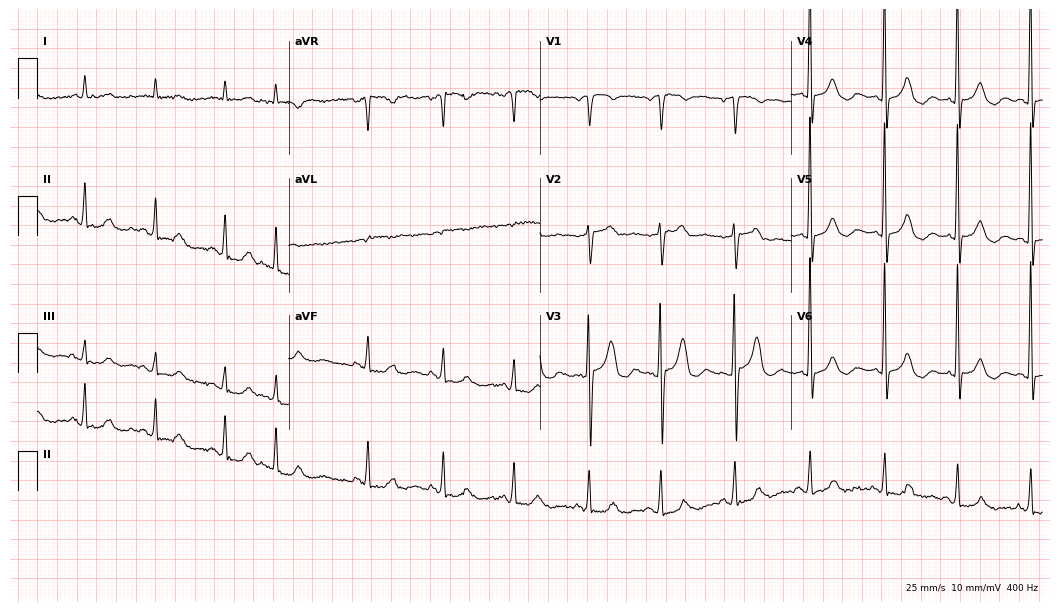
ECG (10.2-second recording at 400 Hz) — an 83-year-old man. Screened for six findings — first-degree AV block, right bundle branch block (RBBB), left bundle branch block (LBBB), sinus bradycardia, atrial fibrillation (AF), sinus tachycardia — none is recorded. Only these six findings were labelled.